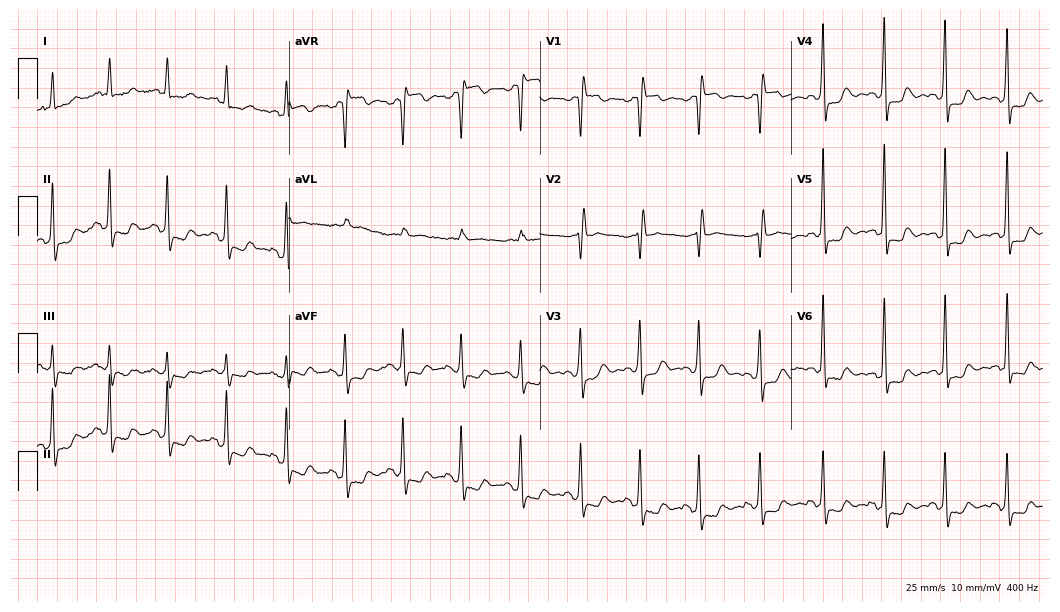
Resting 12-lead electrocardiogram. Patient: a female, 66 years old. None of these six findings is recorded: first-degree AV block, right bundle branch block, left bundle branch block, sinus bradycardia, atrial fibrillation, sinus tachycardia. Other findings, if any, are not listed.